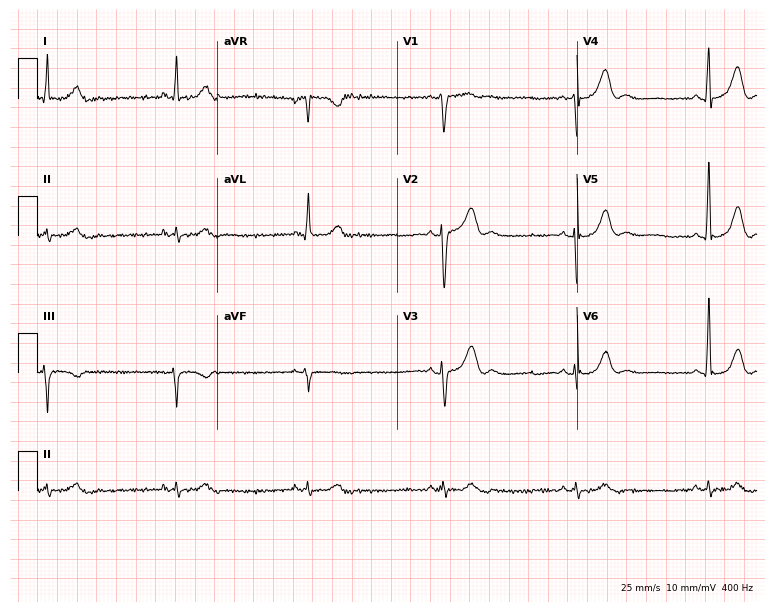
Electrocardiogram (7.3-second recording at 400 Hz), a male patient, 61 years old. Interpretation includes sinus bradycardia (a sinus rate of 50 beats per minute or less).